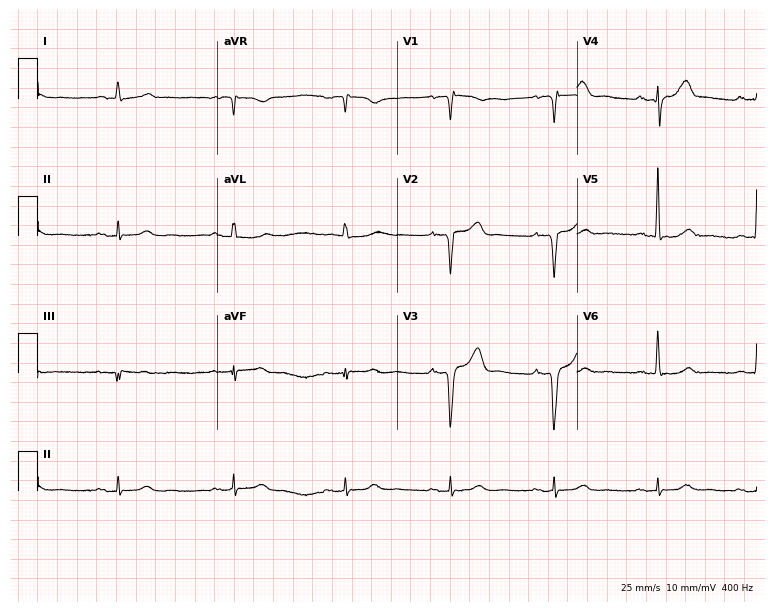
Electrocardiogram, a male, 66 years old. Of the six screened findings (first-degree AV block, right bundle branch block (RBBB), left bundle branch block (LBBB), sinus bradycardia, atrial fibrillation (AF), sinus tachycardia), none is recorded. Findings outside these six are not listed.